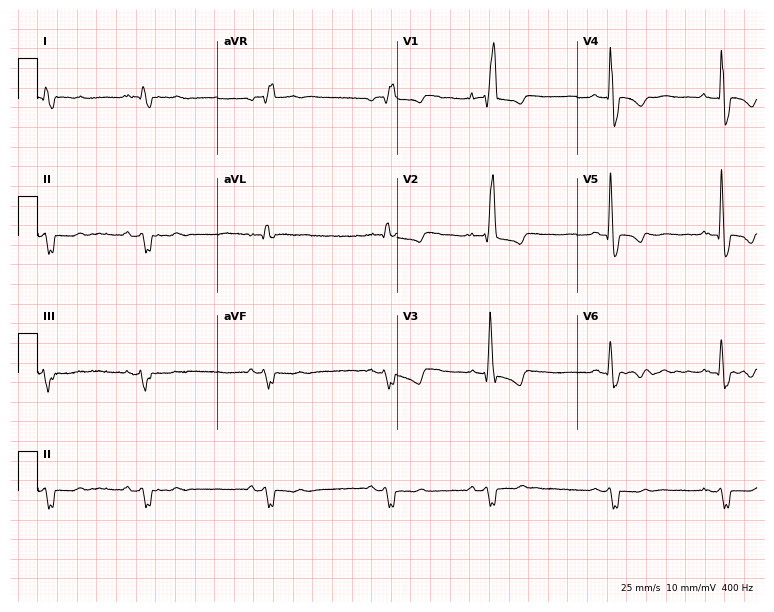
12-lead ECG (7.3-second recording at 400 Hz) from a 60-year-old male. Findings include right bundle branch block (RBBB).